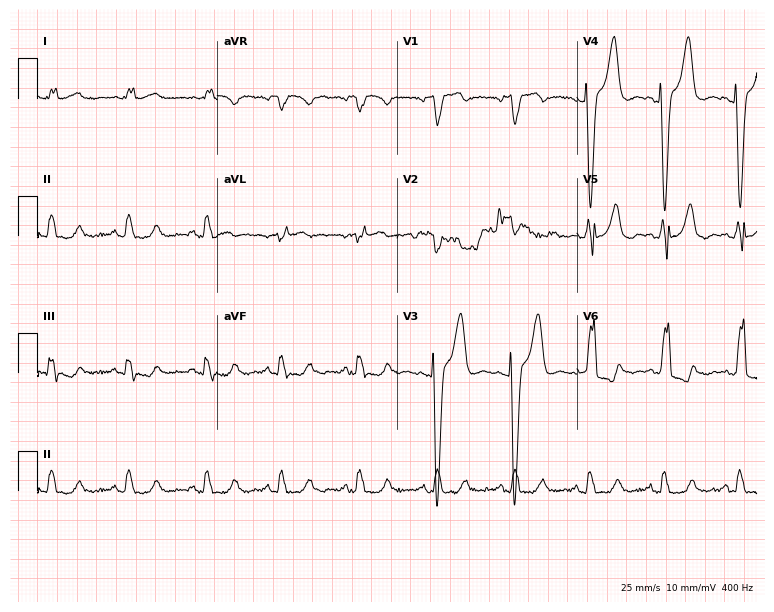
12-lead ECG from a female, 61 years old (7.3-second recording at 400 Hz). Shows left bundle branch block.